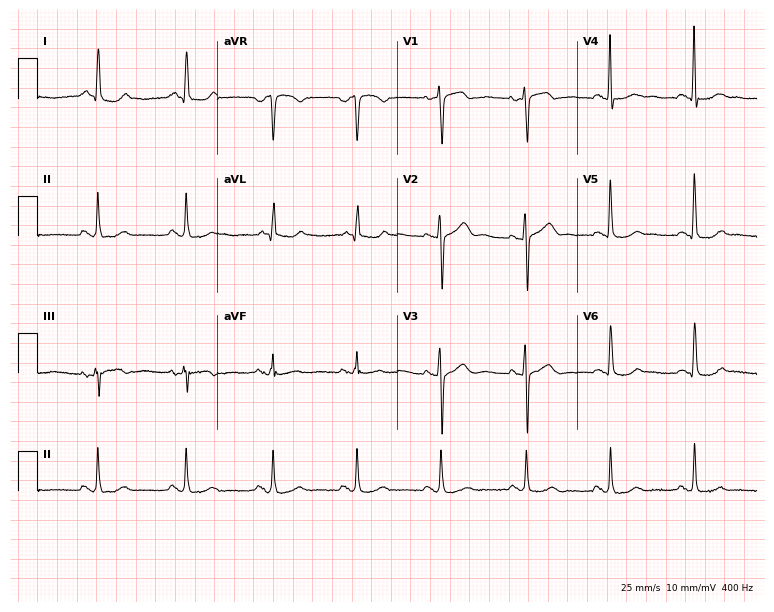
Electrocardiogram (7.3-second recording at 400 Hz), a 65-year-old woman. Of the six screened findings (first-degree AV block, right bundle branch block, left bundle branch block, sinus bradycardia, atrial fibrillation, sinus tachycardia), none is recorded. Only these six findings were labelled.